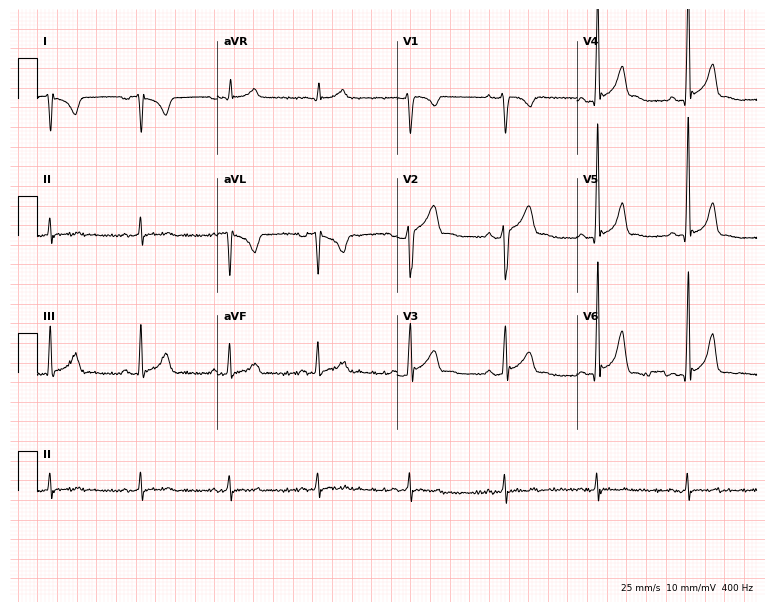
12-lead ECG from a man, 20 years old. Screened for six findings — first-degree AV block, right bundle branch block (RBBB), left bundle branch block (LBBB), sinus bradycardia, atrial fibrillation (AF), sinus tachycardia — none is recorded. Only these six findings were labelled.